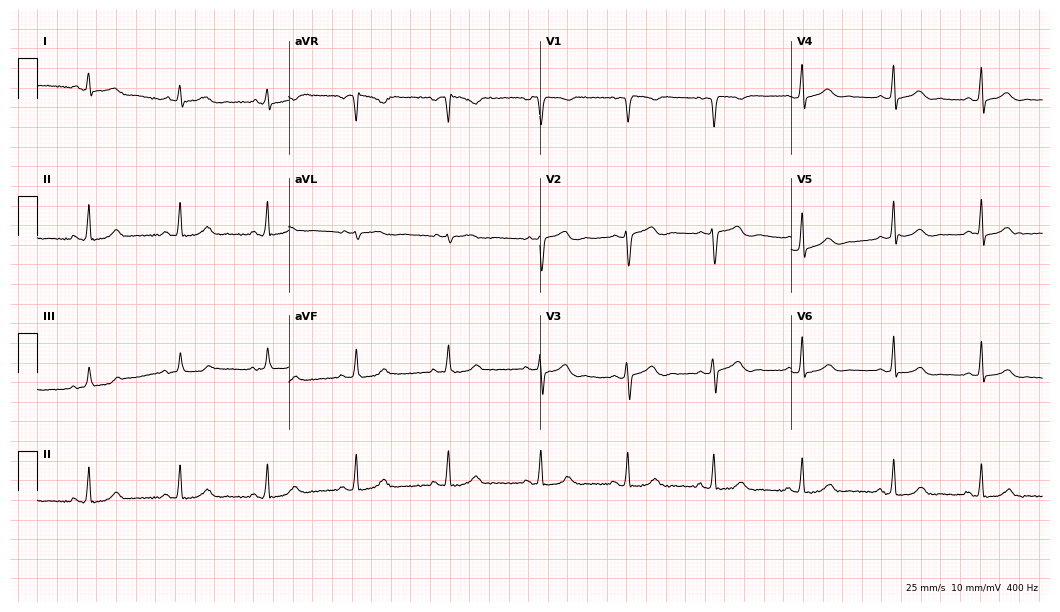
Standard 12-lead ECG recorded from a 34-year-old female. None of these six findings is recorded: first-degree AV block, right bundle branch block, left bundle branch block, sinus bradycardia, atrial fibrillation, sinus tachycardia.